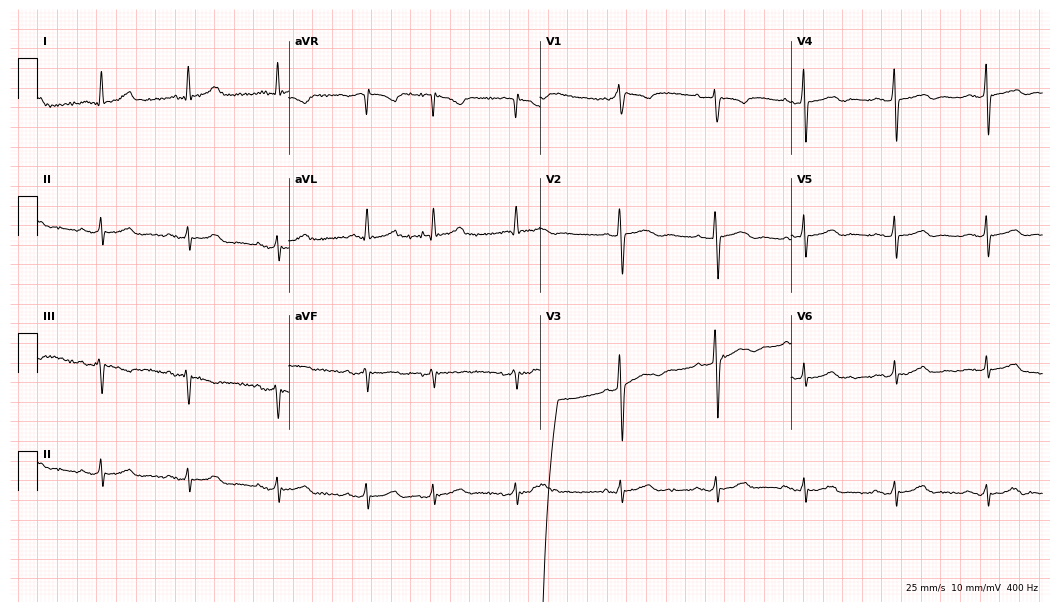
Standard 12-lead ECG recorded from a 79-year-old woman. None of these six findings is recorded: first-degree AV block, right bundle branch block, left bundle branch block, sinus bradycardia, atrial fibrillation, sinus tachycardia. Other findings, if any, are not listed.